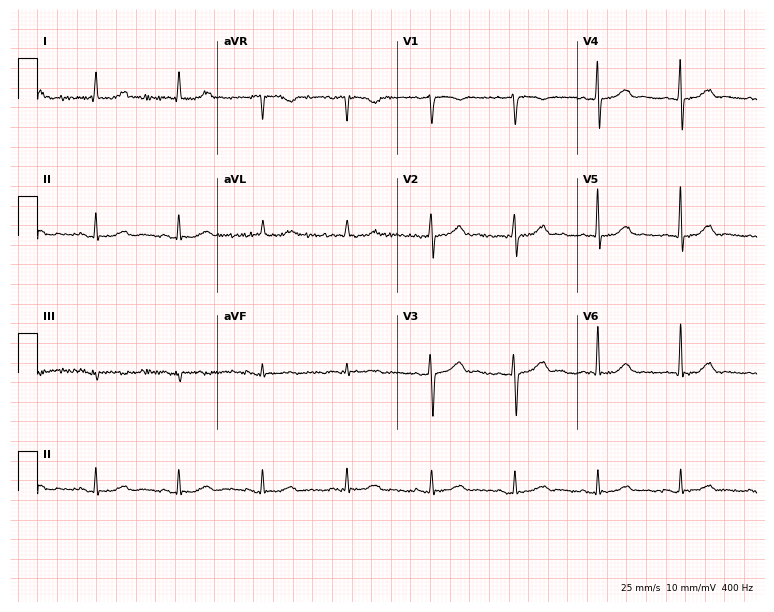
Resting 12-lead electrocardiogram. Patient: a woman, 69 years old. Read as a normal ECG.